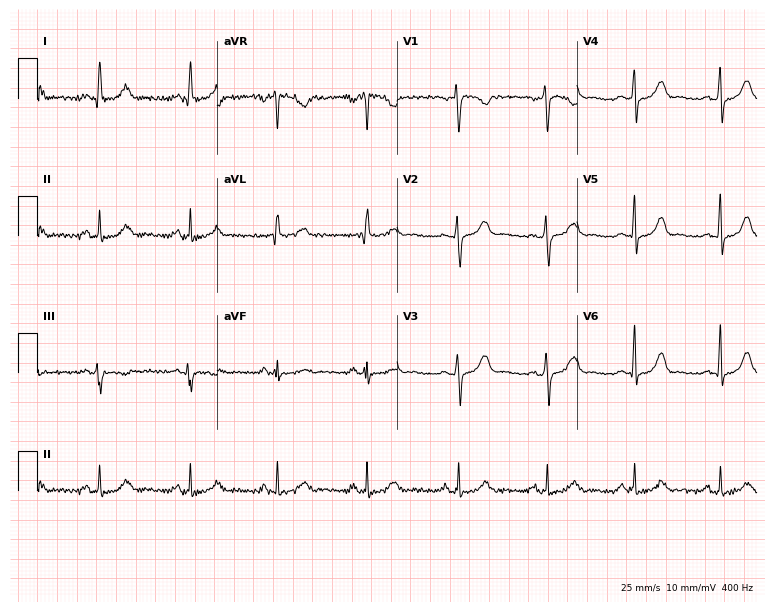
Standard 12-lead ECG recorded from a female, 35 years old. Read as a normal ECG.